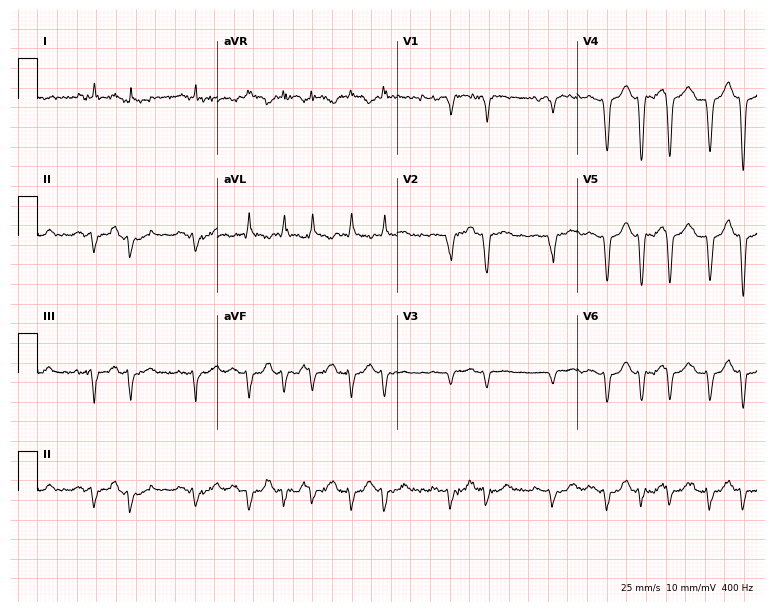
Resting 12-lead electrocardiogram (7.3-second recording at 400 Hz). Patient: a 75-year-old male. The tracing shows atrial fibrillation.